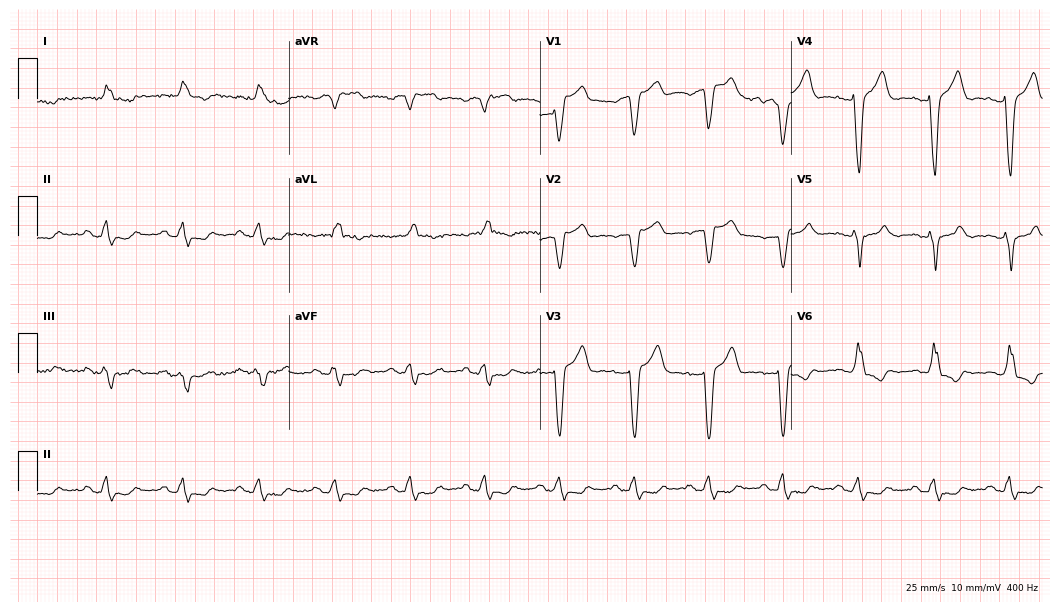
Resting 12-lead electrocardiogram (10.2-second recording at 400 Hz). Patient: a 75-year-old male. The tracing shows left bundle branch block.